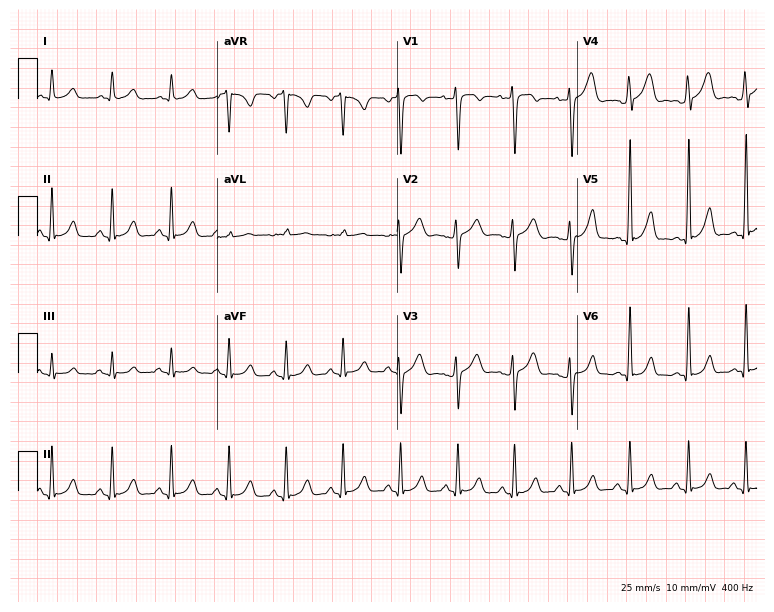
Resting 12-lead electrocardiogram (7.3-second recording at 400 Hz). Patient: a 20-year-old man. None of these six findings is recorded: first-degree AV block, right bundle branch block (RBBB), left bundle branch block (LBBB), sinus bradycardia, atrial fibrillation (AF), sinus tachycardia.